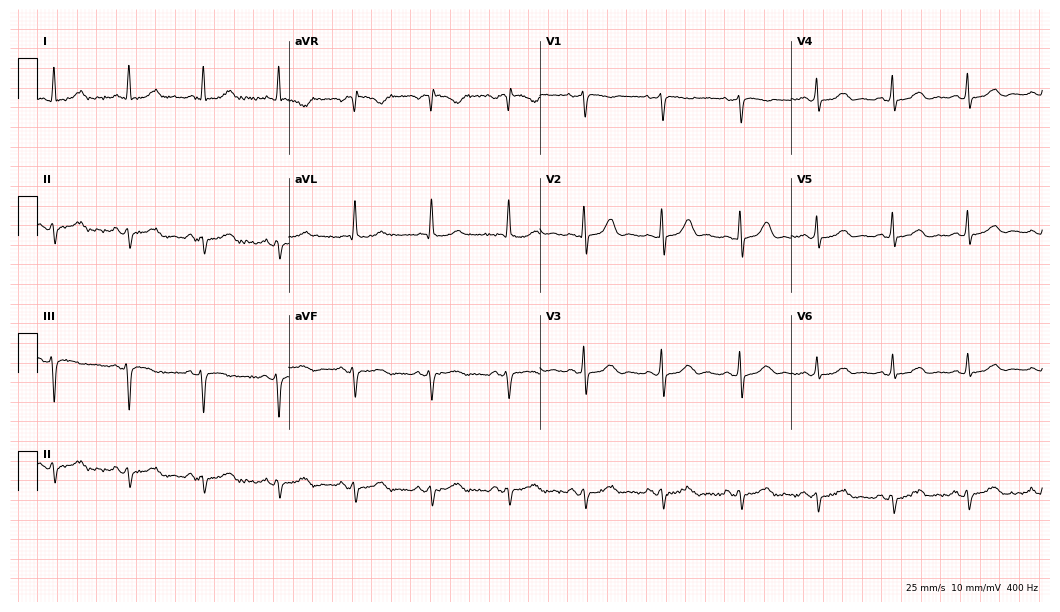
12-lead ECG from a female, 82 years old. No first-degree AV block, right bundle branch block (RBBB), left bundle branch block (LBBB), sinus bradycardia, atrial fibrillation (AF) or sinus tachycardia recorded for this tracing.